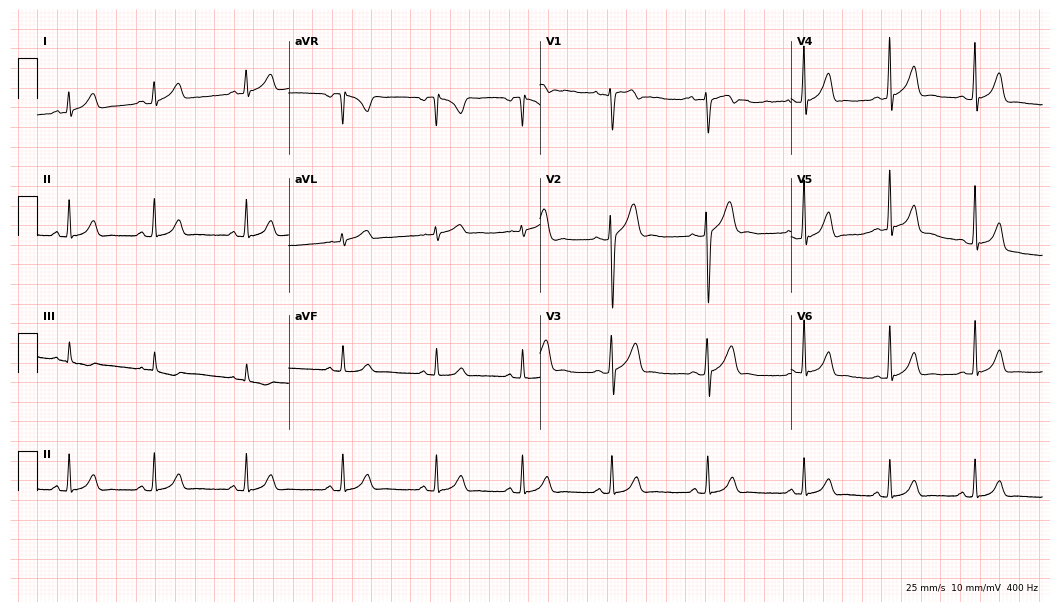
Resting 12-lead electrocardiogram. Patient: a 24-year-old man. None of these six findings is recorded: first-degree AV block, right bundle branch block, left bundle branch block, sinus bradycardia, atrial fibrillation, sinus tachycardia.